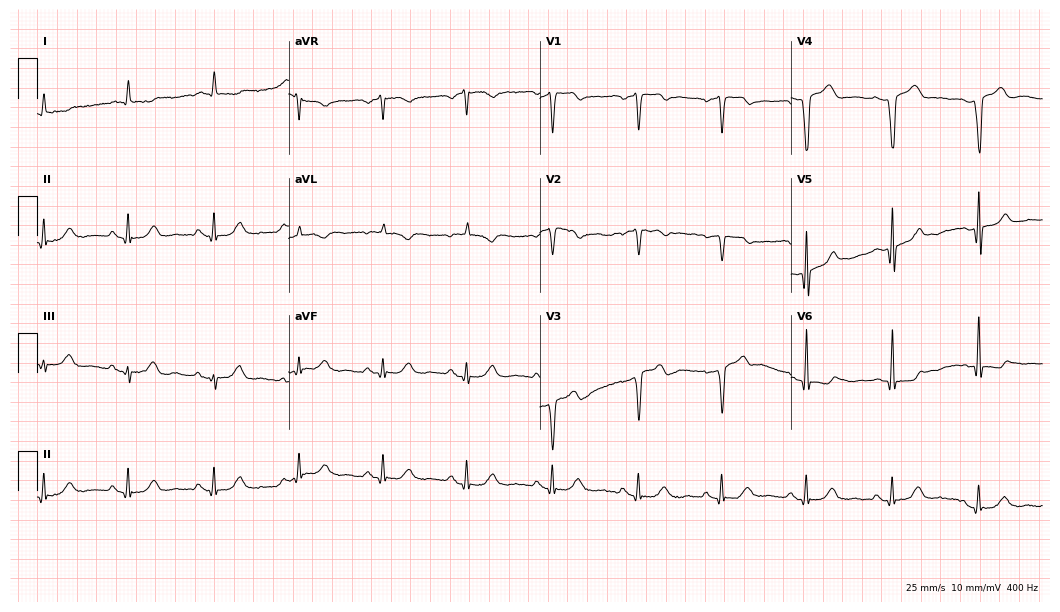
Resting 12-lead electrocardiogram (10.2-second recording at 400 Hz). Patient: a 51-year-old man. None of these six findings is recorded: first-degree AV block, right bundle branch block (RBBB), left bundle branch block (LBBB), sinus bradycardia, atrial fibrillation (AF), sinus tachycardia.